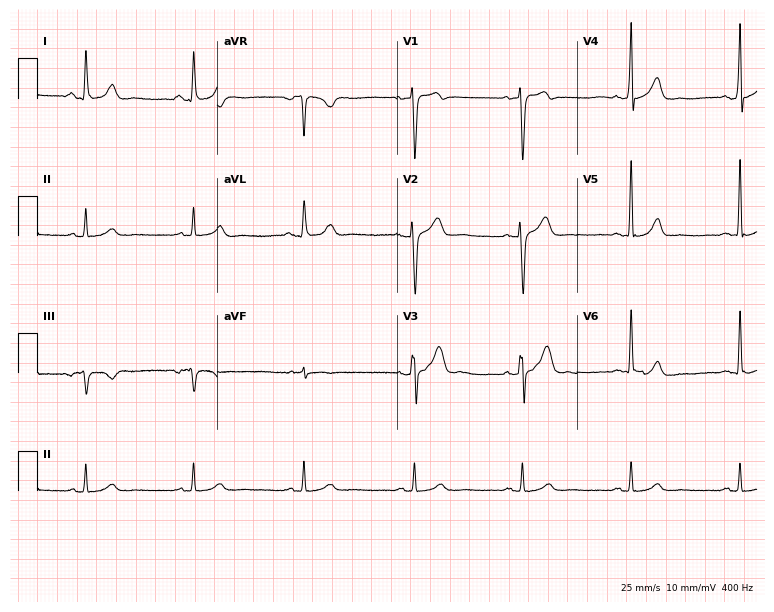
ECG — a male, 47 years old. Labelled as a normal ECG.